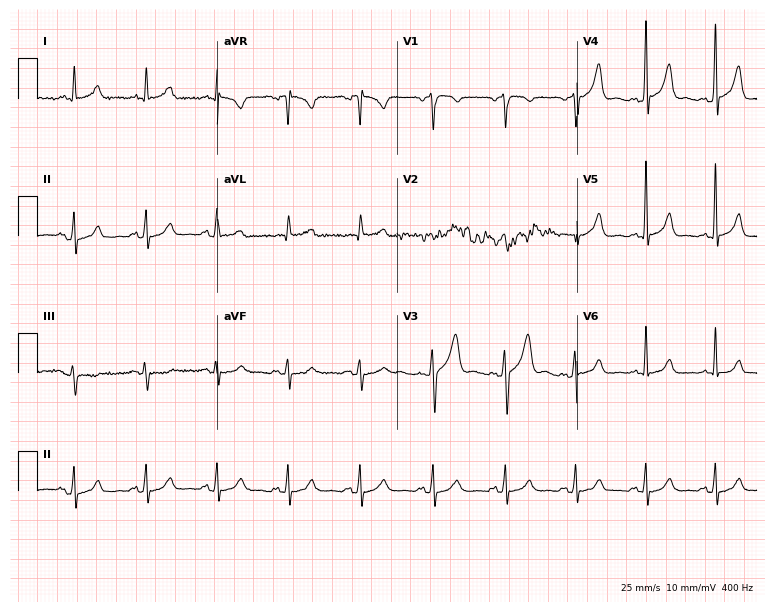
Resting 12-lead electrocardiogram (7.3-second recording at 400 Hz). Patient: a 47-year-old man. Read as a normal ECG.